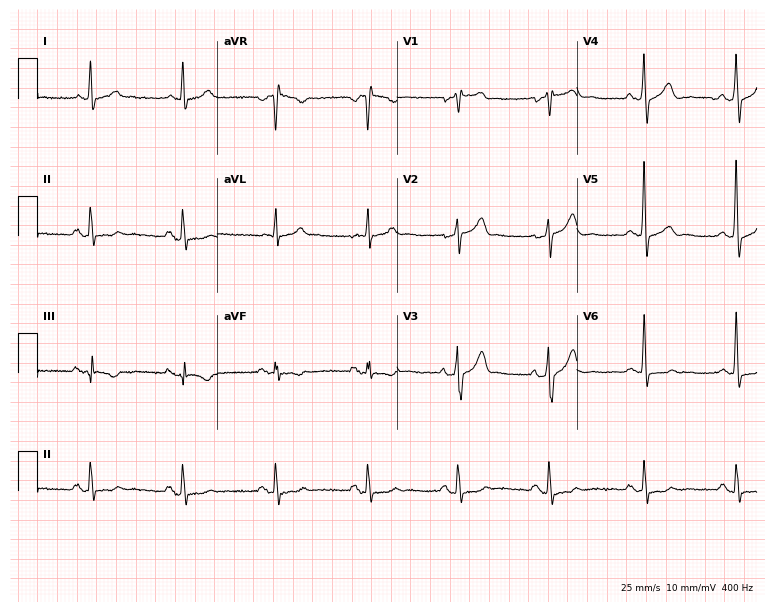
12-lead ECG from a male, 47 years old (7.3-second recording at 400 Hz). No first-degree AV block, right bundle branch block, left bundle branch block, sinus bradycardia, atrial fibrillation or sinus tachycardia recorded for this tracing. Findings outside these six are not listed.